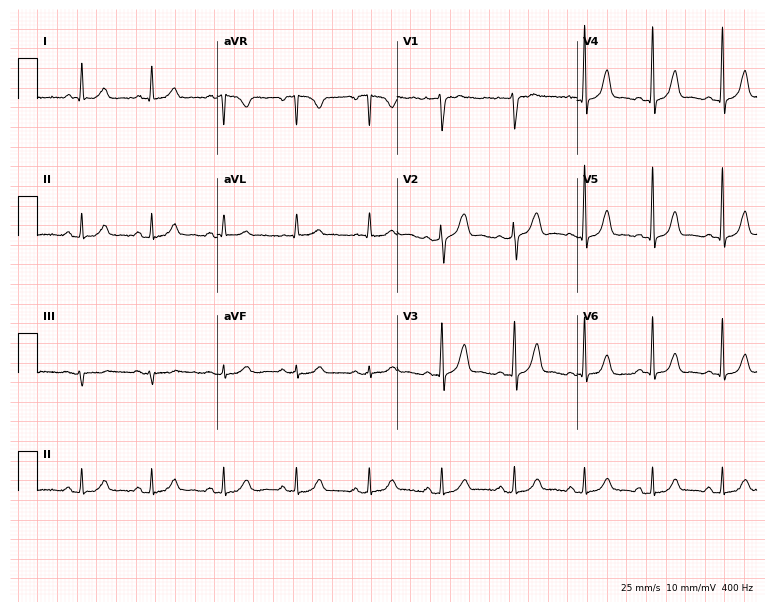
Resting 12-lead electrocardiogram. Patient: a 49-year-old female. Read as a normal ECG.